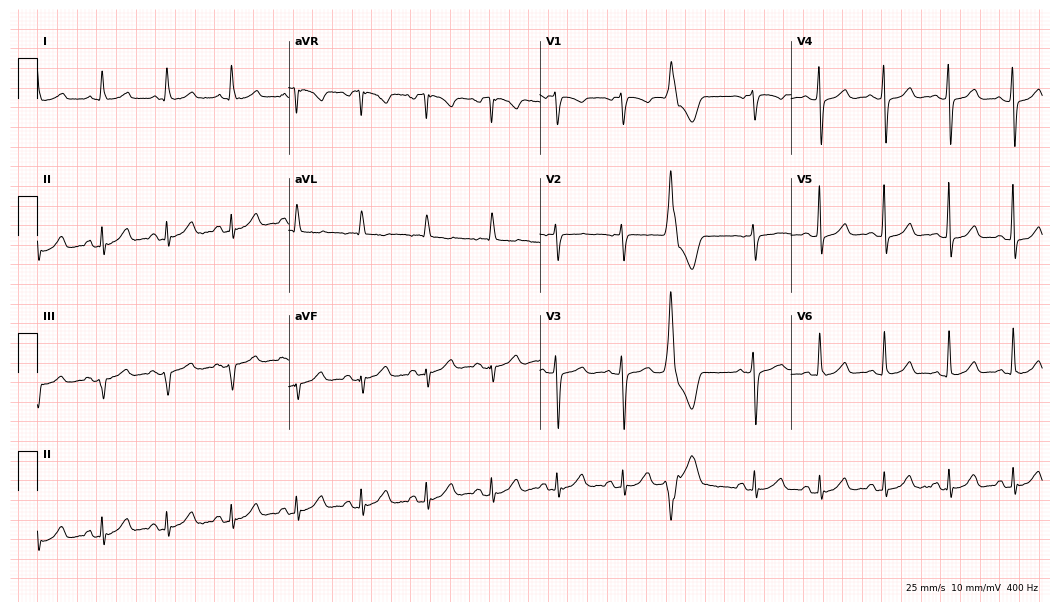
Standard 12-lead ECG recorded from a female patient, 69 years old (10.2-second recording at 400 Hz). Read as a normal ECG.